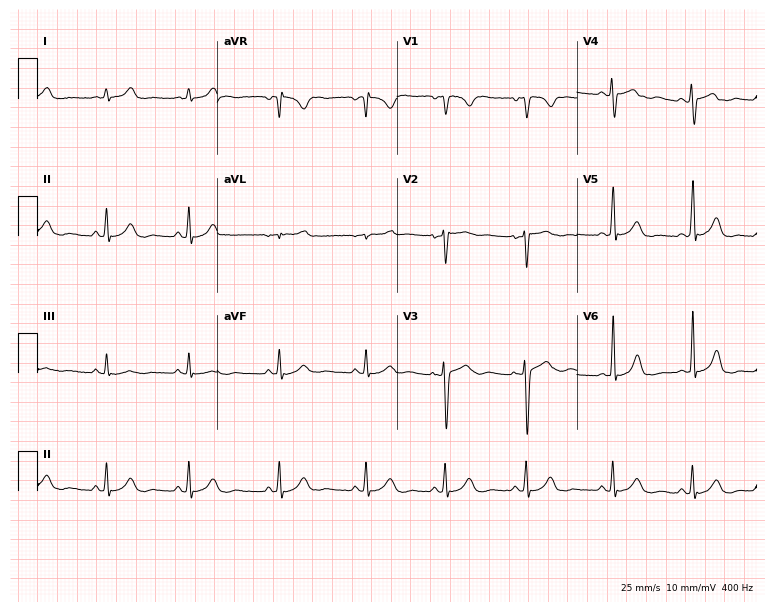
ECG — a woman, 30 years old. Screened for six findings — first-degree AV block, right bundle branch block, left bundle branch block, sinus bradycardia, atrial fibrillation, sinus tachycardia — none is recorded.